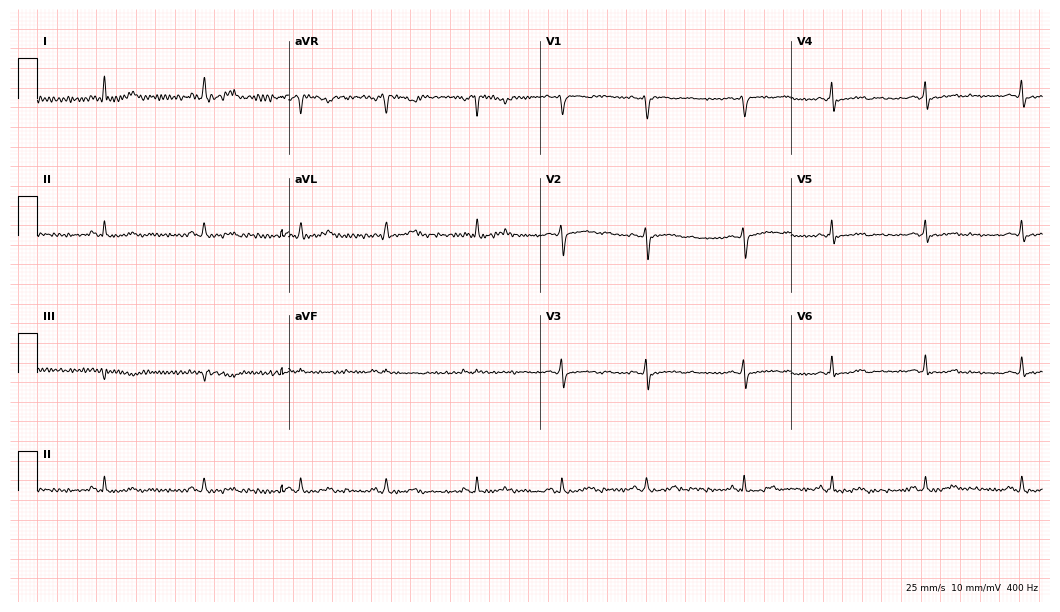
Electrocardiogram, a 38-year-old female. Of the six screened findings (first-degree AV block, right bundle branch block, left bundle branch block, sinus bradycardia, atrial fibrillation, sinus tachycardia), none is recorded.